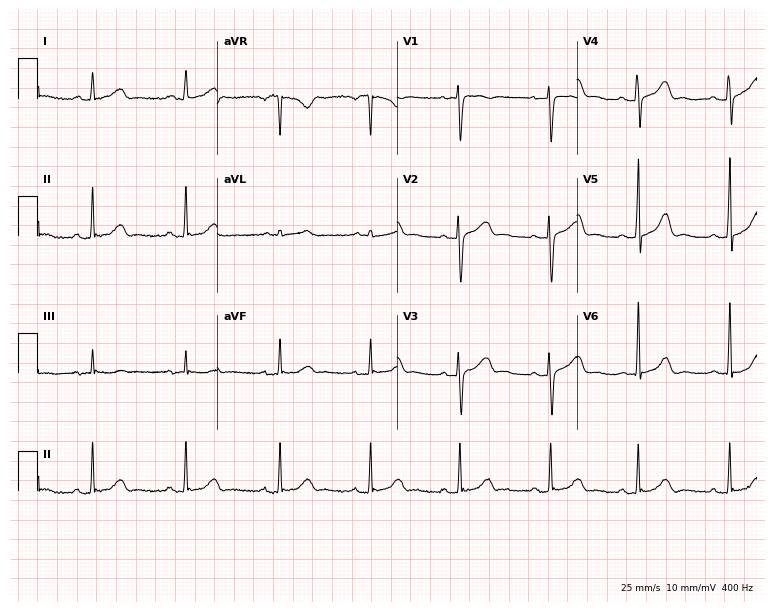
ECG (7.3-second recording at 400 Hz) — a woman, 42 years old. Labelled as a normal ECG.